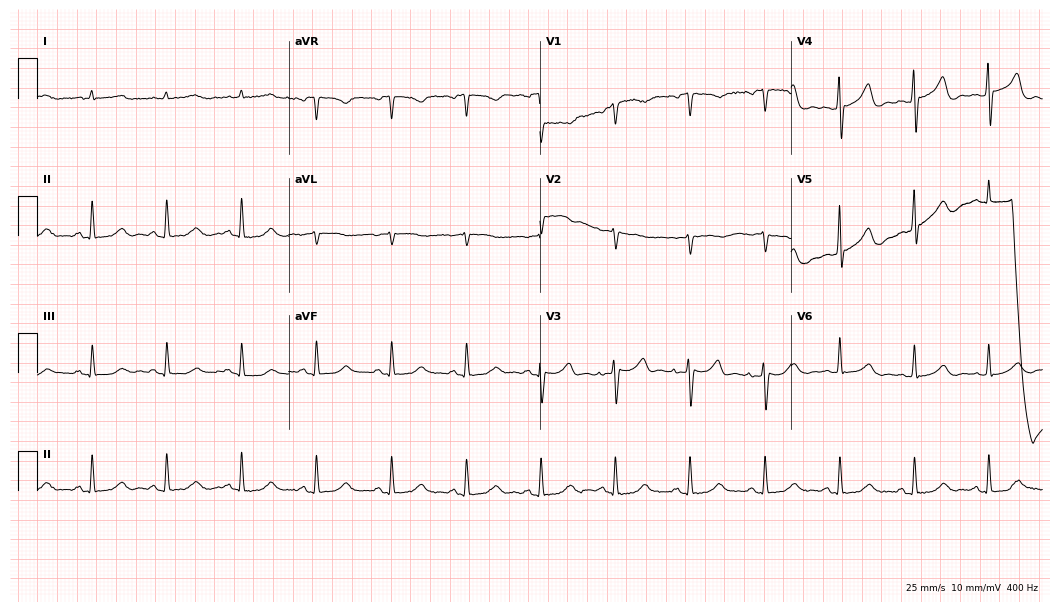
ECG (10.2-second recording at 400 Hz) — a 74-year-old female. Labelled as a normal ECG.